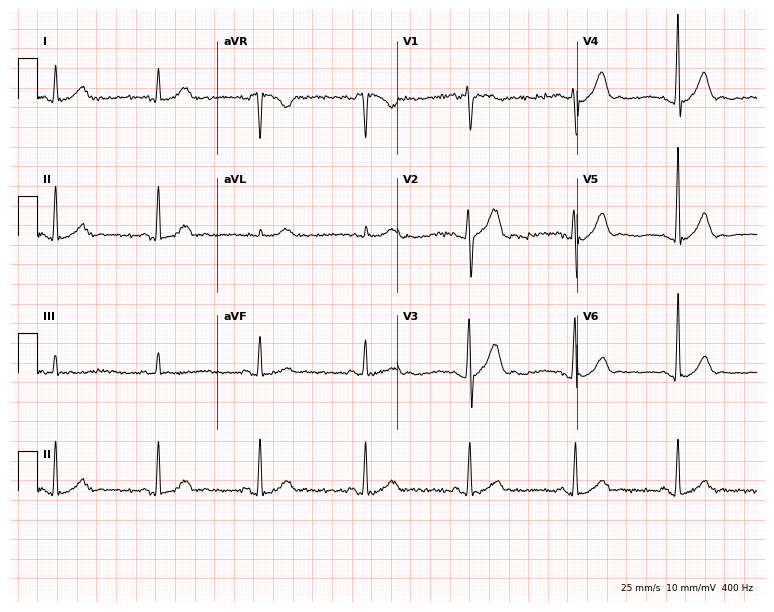
Resting 12-lead electrocardiogram. Patient: a male, 38 years old. Read as a normal ECG.